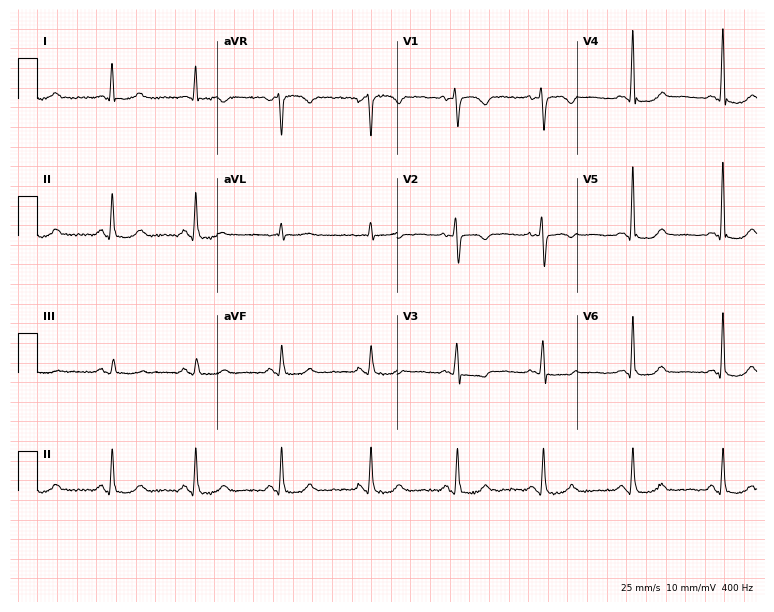
12-lead ECG from a woman, 50 years old. Recorded interpretation: within normal limits.